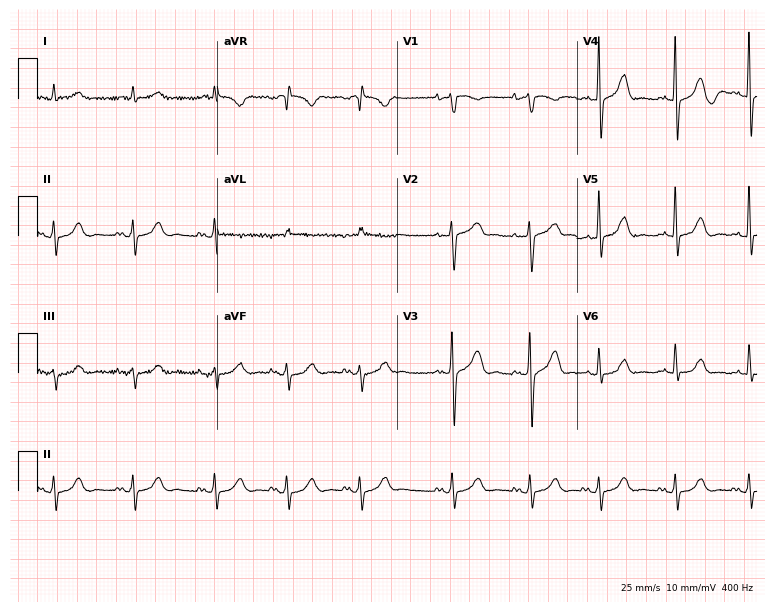
ECG — a man, 80 years old. Screened for six findings — first-degree AV block, right bundle branch block (RBBB), left bundle branch block (LBBB), sinus bradycardia, atrial fibrillation (AF), sinus tachycardia — none is recorded.